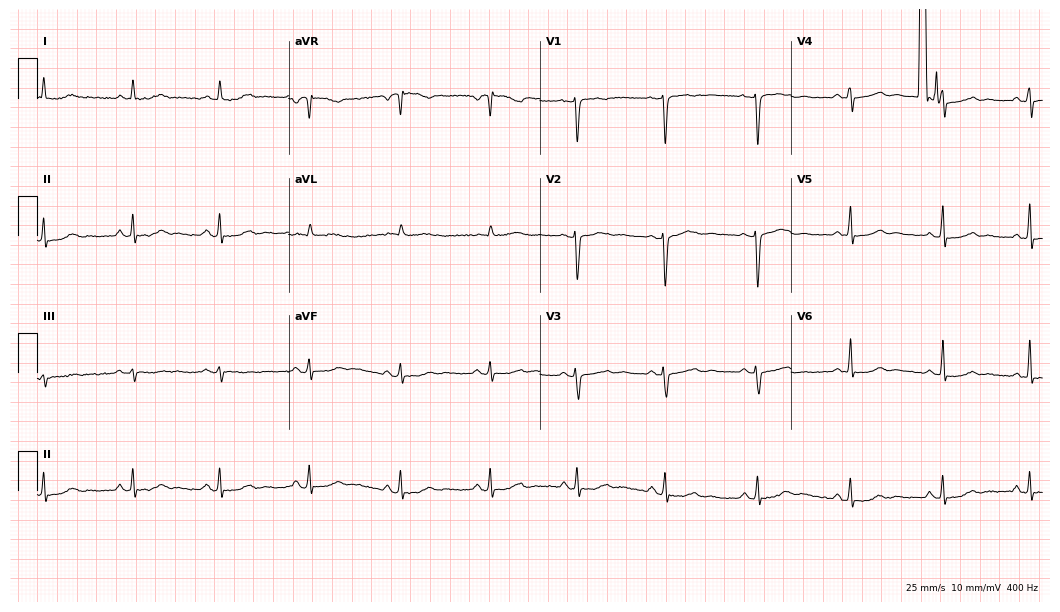
Standard 12-lead ECG recorded from a 43-year-old female. Read as a normal ECG.